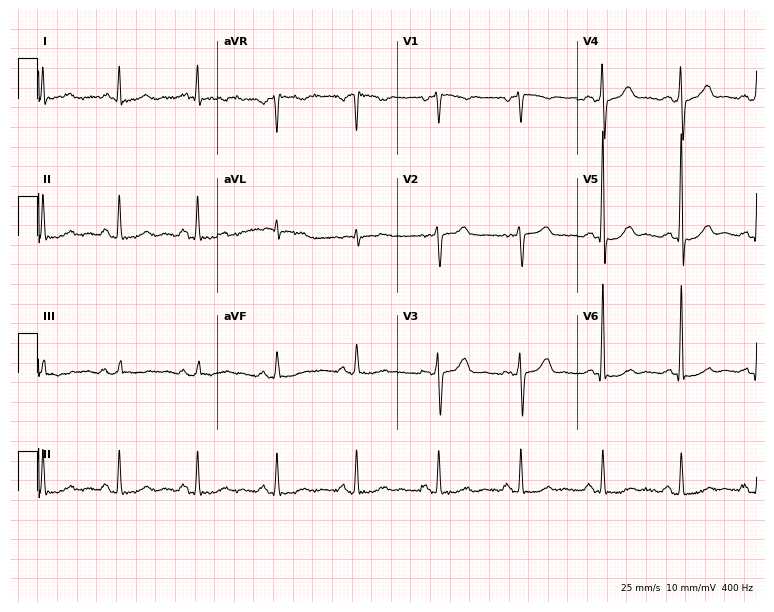
Electrocardiogram, a 58-year-old female patient. Of the six screened findings (first-degree AV block, right bundle branch block (RBBB), left bundle branch block (LBBB), sinus bradycardia, atrial fibrillation (AF), sinus tachycardia), none is recorded. Findings outside these six are not listed.